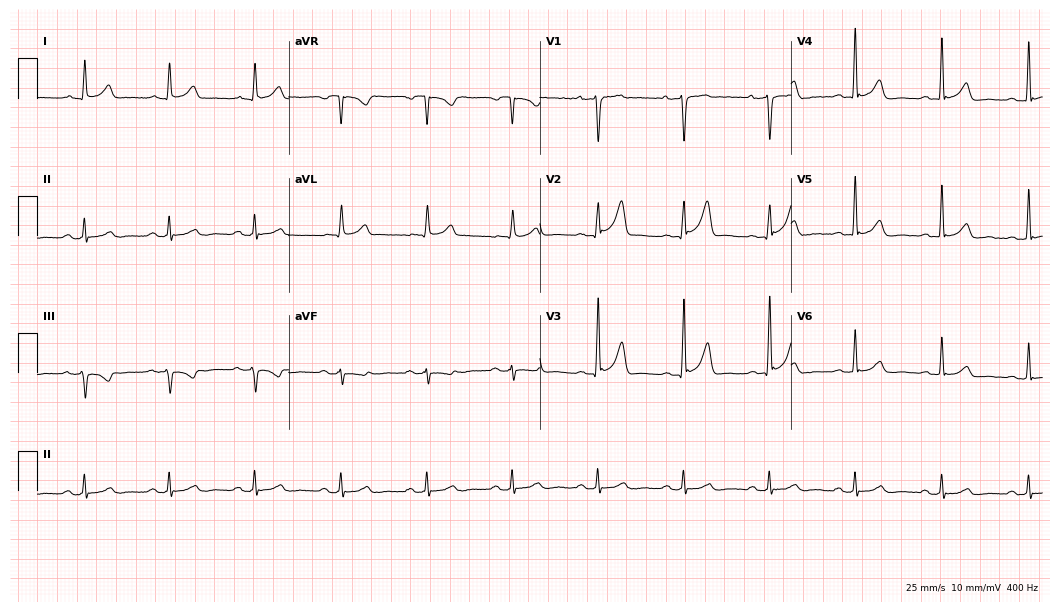
12-lead ECG from a female patient, 61 years old. No first-degree AV block, right bundle branch block (RBBB), left bundle branch block (LBBB), sinus bradycardia, atrial fibrillation (AF) or sinus tachycardia recorded for this tracing.